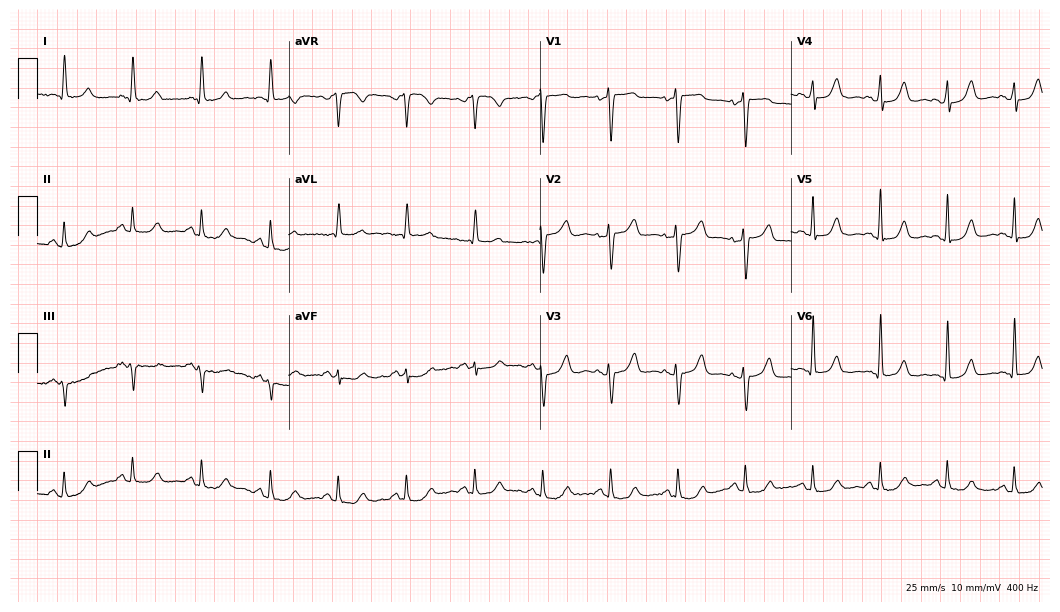
ECG (10.2-second recording at 400 Hz) — a 76-year-old female patient. Screened for six findings — first-degree AV block, right bundle branch block, left bundle branch block, sinus bradycardia, atrial fibrillation, sinus tachycardia — none is recorded.